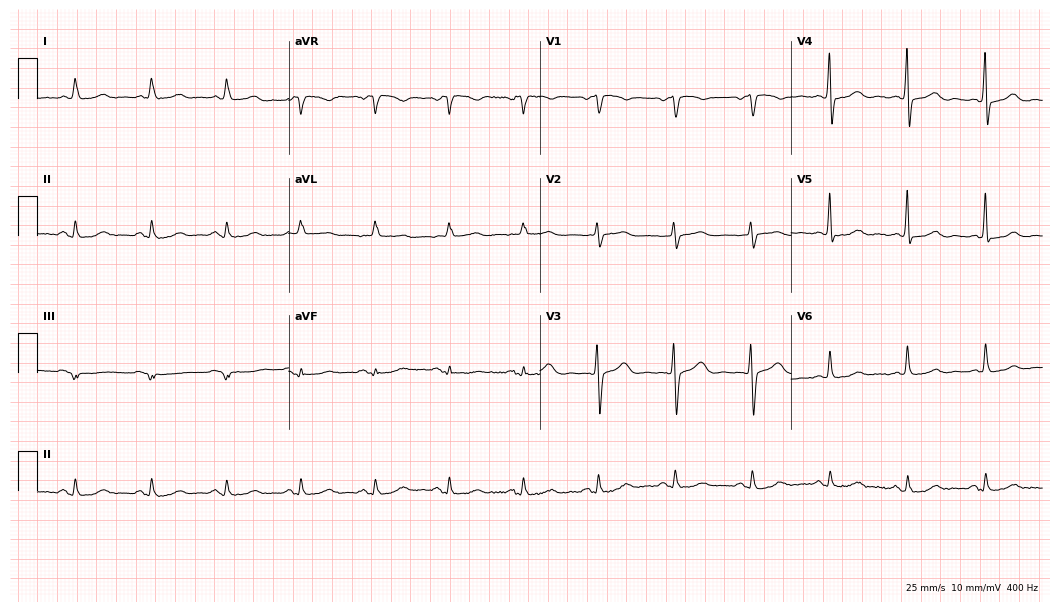
Electrocardiogram, a 76-year-old female patient. Overall reading on record: normal ECG.